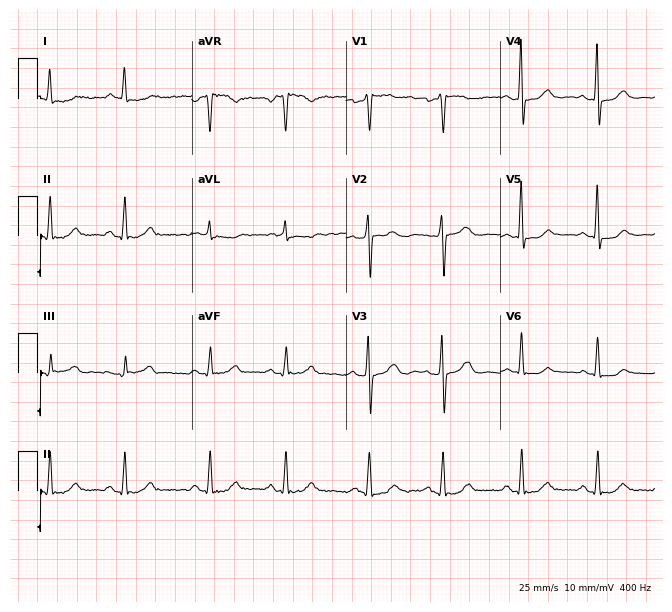
Standard 12-lead ECG recorded from a man, 64 years old. None of these six findings is recorded: first-degree AV block, right bundle branch block (RBBB), left bundle branch block (LBBB), sinus bradycardia, atrial fibrillation (AF), sinus tachycardia. Only these six findings were labelled.